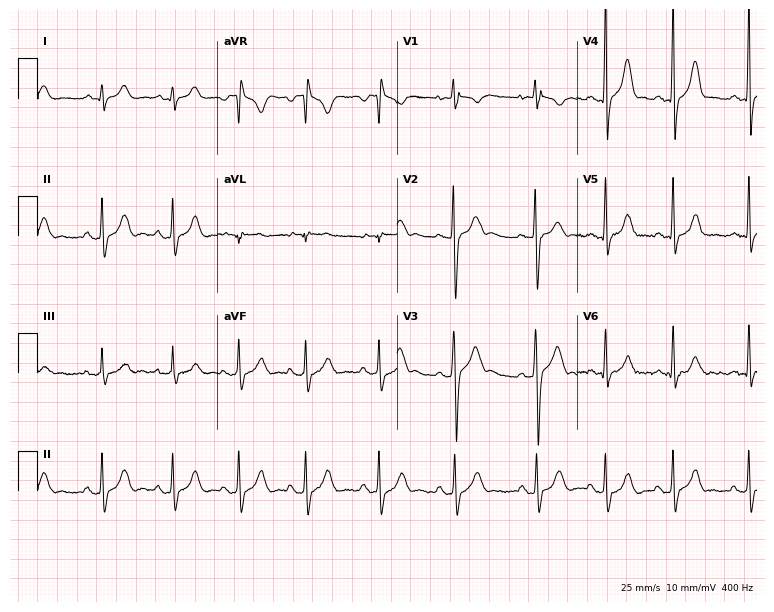
Standard 12-lead ECG recorded from a 17-year-old man. Read as a normal ECG.